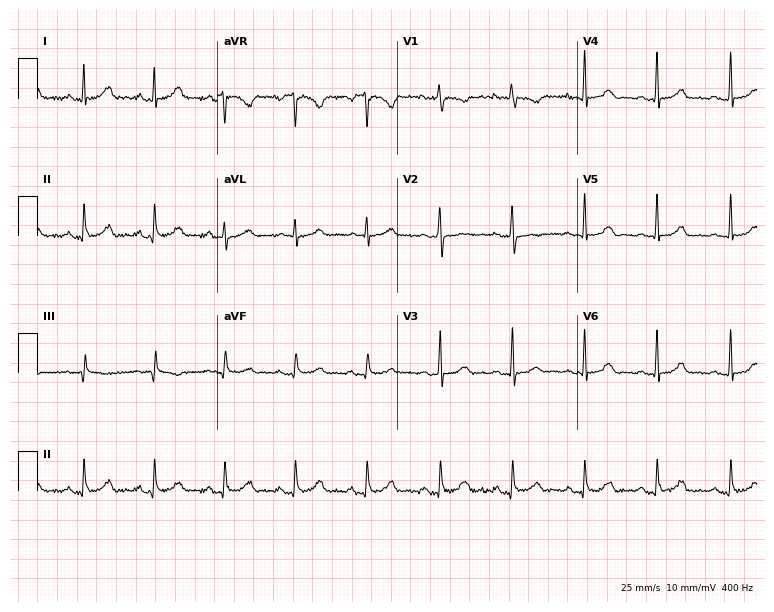
ECG — a female patient, 55 years old. Screened for six findings — first-degree AV block, right bundle branch block (RBBB), left bundle branch block (LBBB), sinus bradycardia, atrial fibrillation (AF), sinus tachycardia — none is recorded. Findings outside these six are not listed.